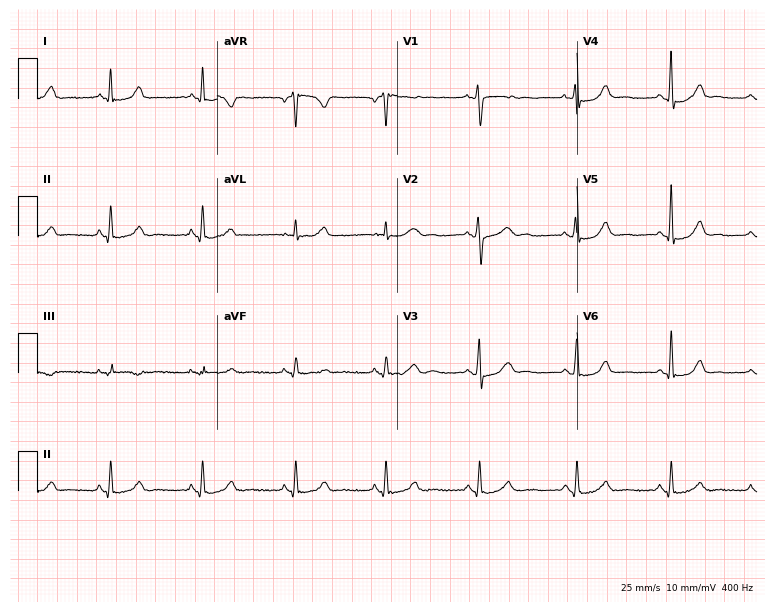
ECG (7.3-second recording at 400 Hz) — a woman, 47 years old. Labelled as a normal ECG.